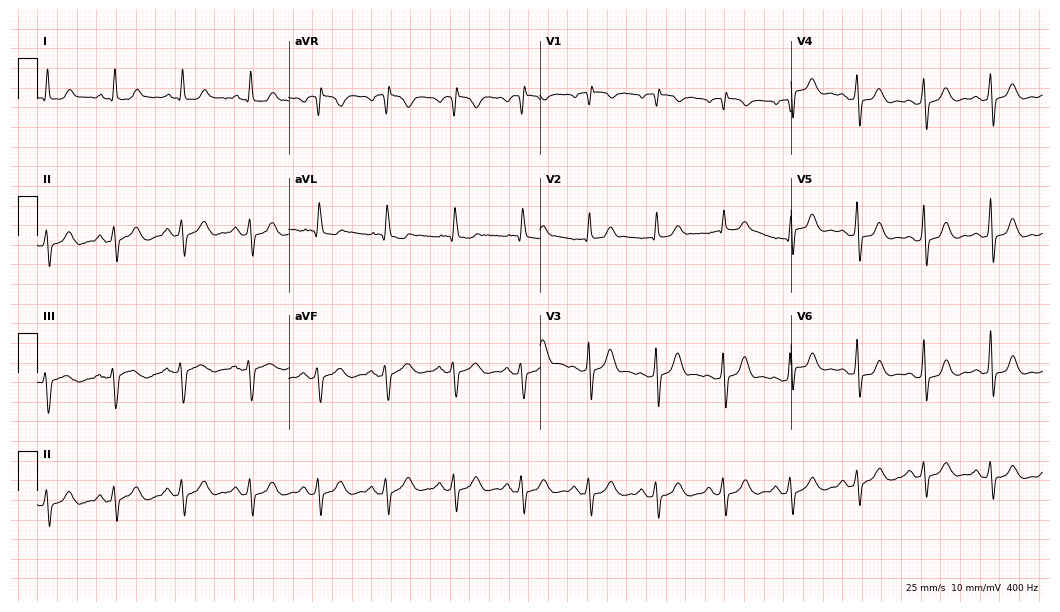
Standard 12-lead ECG recorded from a 76-year-old man. None of these six findings is recorded: first-degree AV block, right bundle branch block, left bundle branch block, sinus bradycardia, atrial fibrillation, sinus tachycardia.